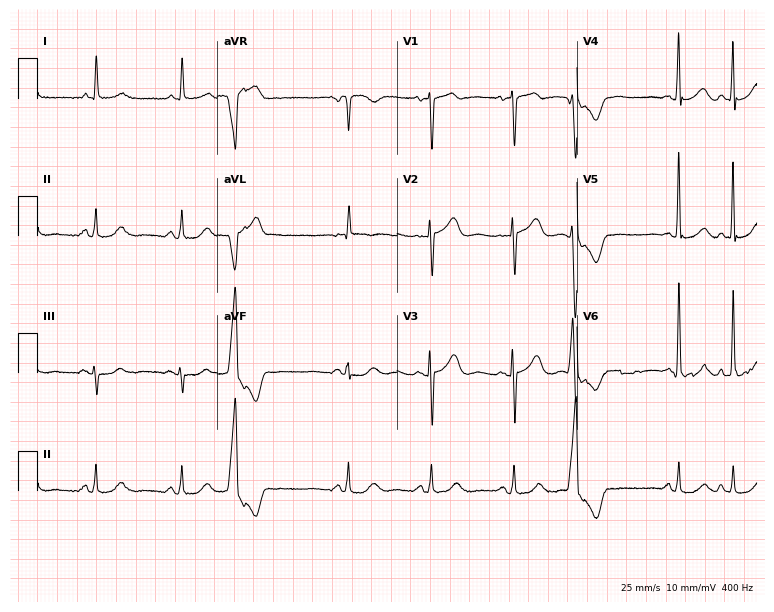
Electrocardiogram (7.3-second recording at 400 Hz), an 85-year-old man. Of the six screened findings (first-degree AV block, right bundle branch block (RBBB), left bundle branch block (LBBB), sinus bradycardia, atrial fibrillation (AF), sinus tachycardia), none is recorded.